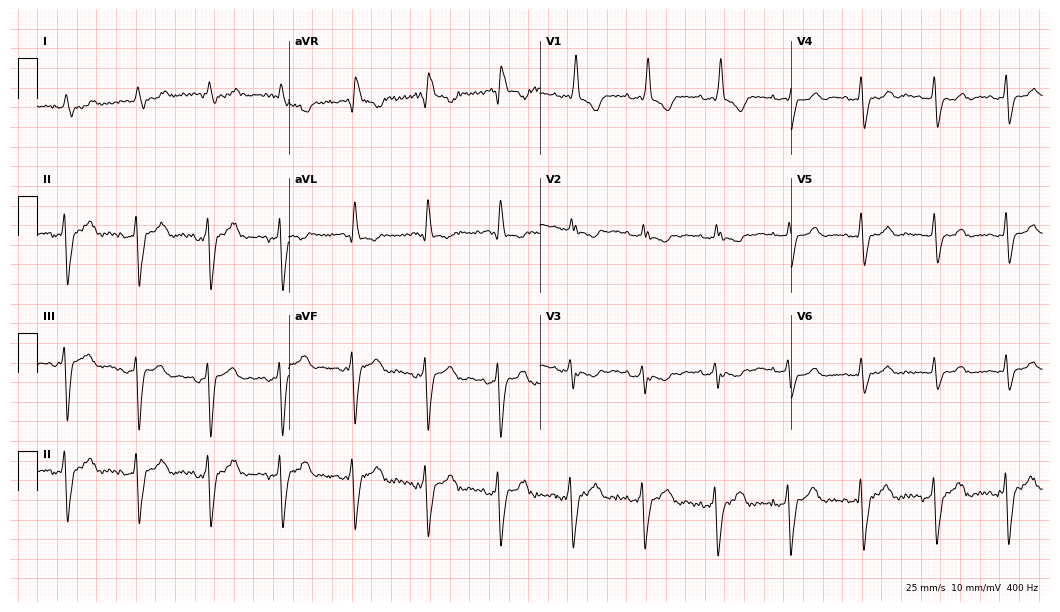
12-lead ECG from an 80-year-old female (10.2-second recording at 400 Hz). Shows right bundle branch block.